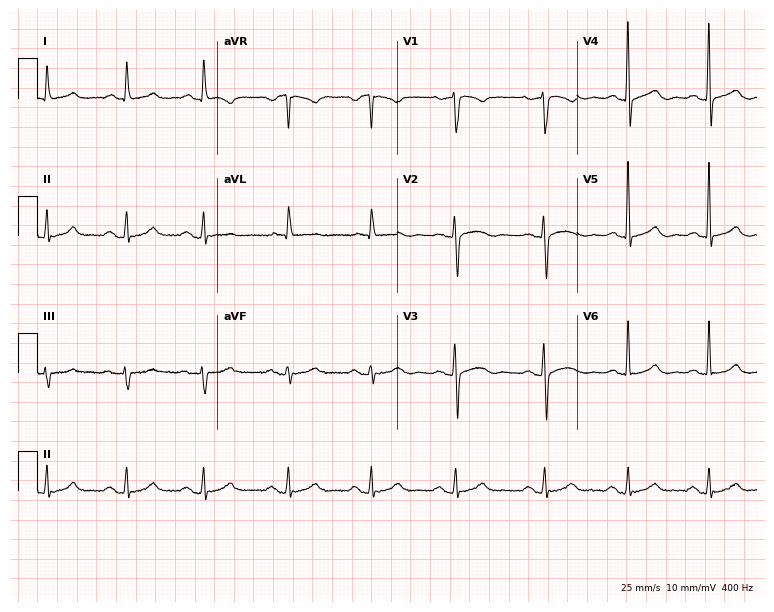
Standard 12-lead ECG recorded from a 60-year-old female (7.3-second recording at 400 Hz). Read as a normal ECG.